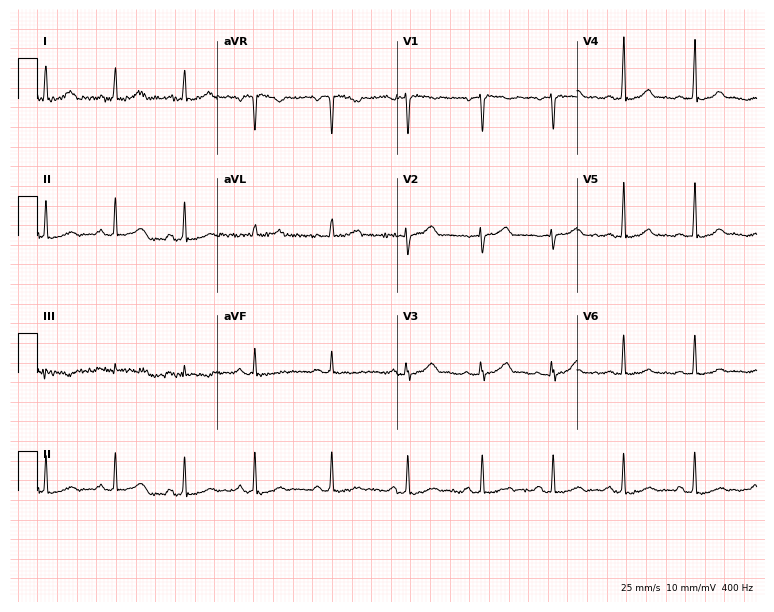
ECG — a 28-year-old female patient. Labelled as a normal ECG.